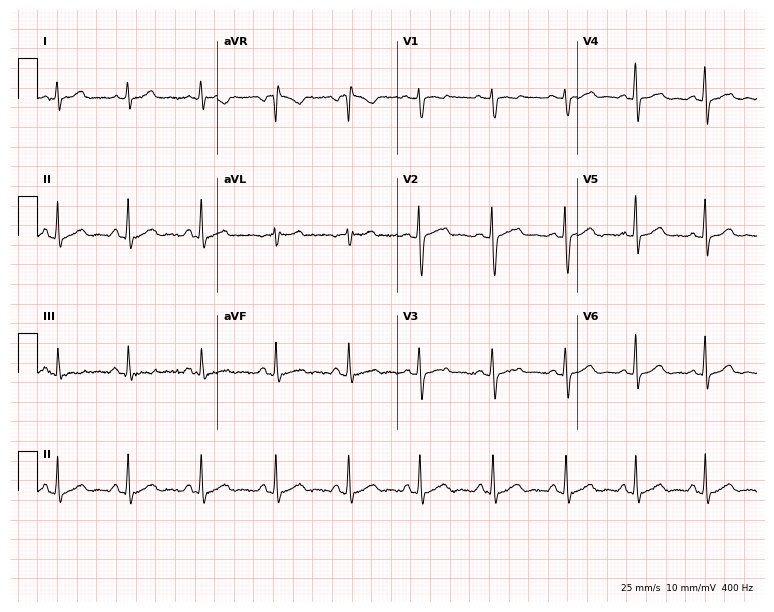
Resting 12-lead electrocardiogram. Patient: a 38-year-old female. Read as a normal ECG.